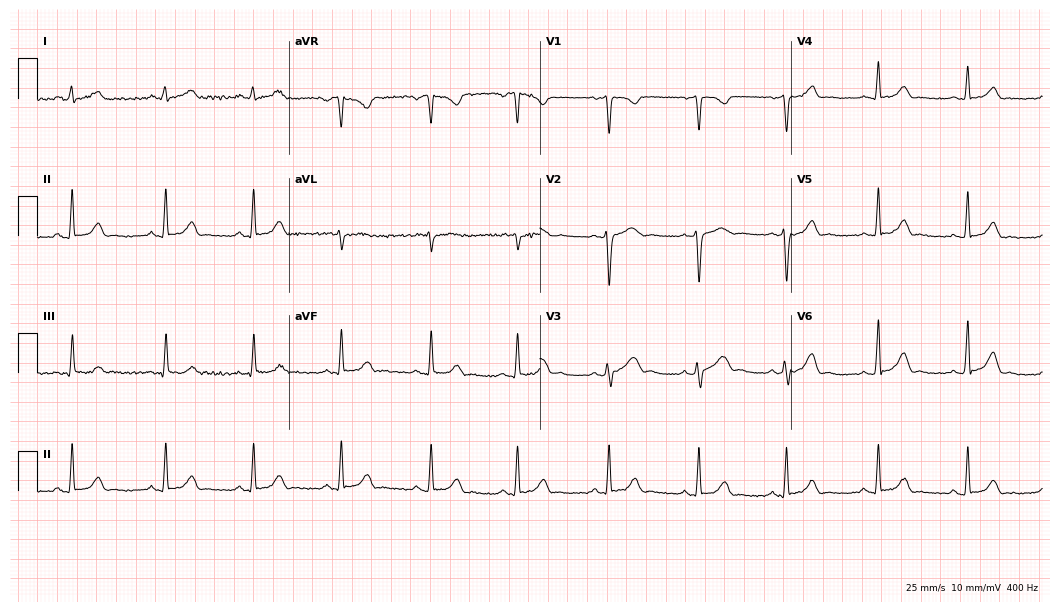
Resting 12-lead electrocardiogram (10.2-second recording at 400 Hz). Patient: a 21-year-old female. Read as a normal ECG.